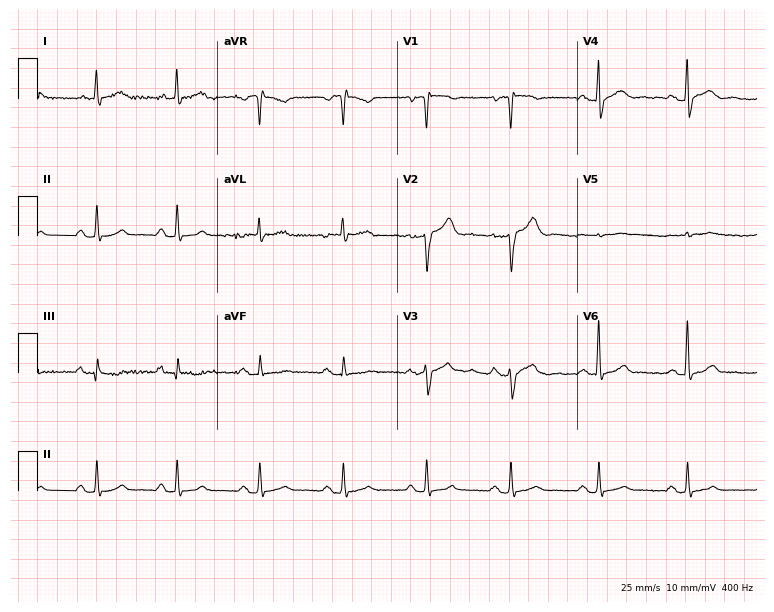
12-lead ECG (7.3-second recording at 400 Hz) from a man, 78 years old. Screened for six findings — first-degree AV block, right bundle branch block (RBBB), left bundle branch block (LBBB), sinus bradycardia, atrial fibrillation (AF), sinus tachycardia — none is recorded. Findings outside these six are not listed.